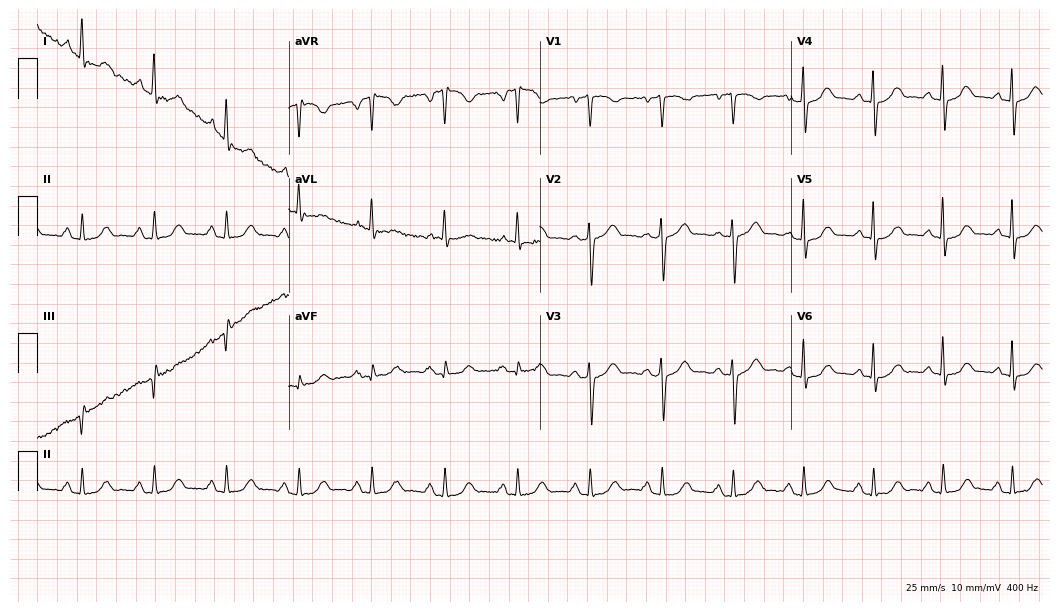
Electrocardiogram (10.2-second recording at 400 Hz), a woman, 68 years old. Of the six screened findings (first-degree AV block, right bundle branch block, left bundle branch block, sinus bradycardia, atrial fibrillation, sinus tachycardia), none is recorded. Other findings, if any, are not listed.